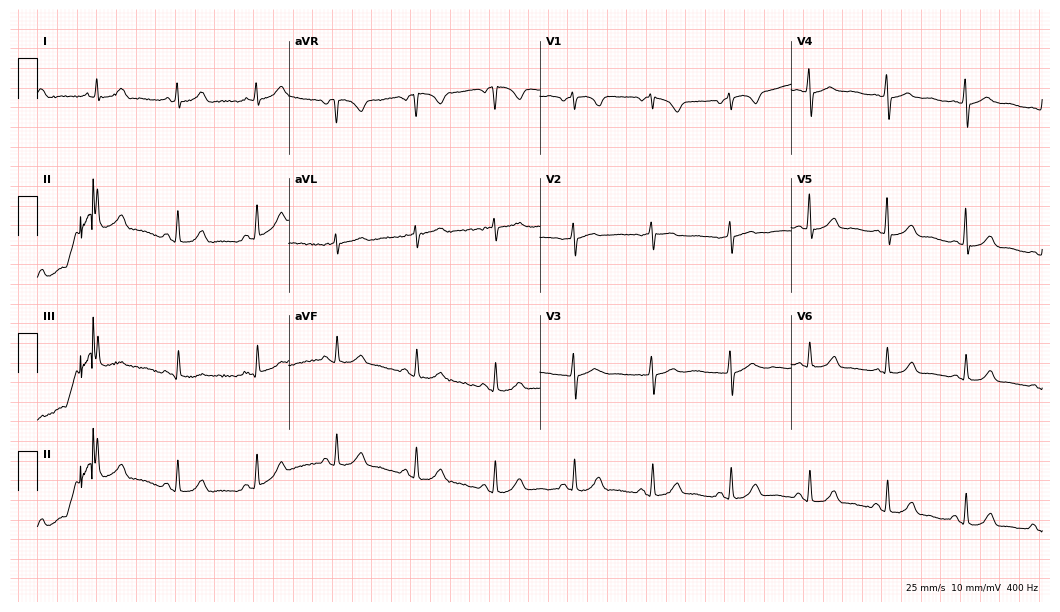
ECG (10.2-second recording at 400 Hz) — a 56-year-old female. Labelled as a normal ECG.